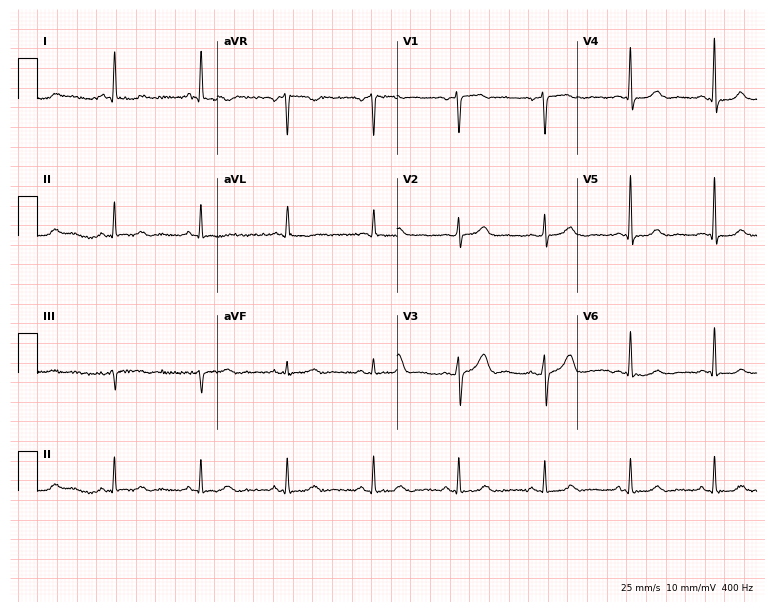
ECG — a woman, 52 years old. Screened for six findings — first-degree AV block, right bundle branch block, left bundle branch block, sinus bradycardia, atrial fibrillation, sinus tachycardia — none is recorded. Other findings, if any, are not listed.